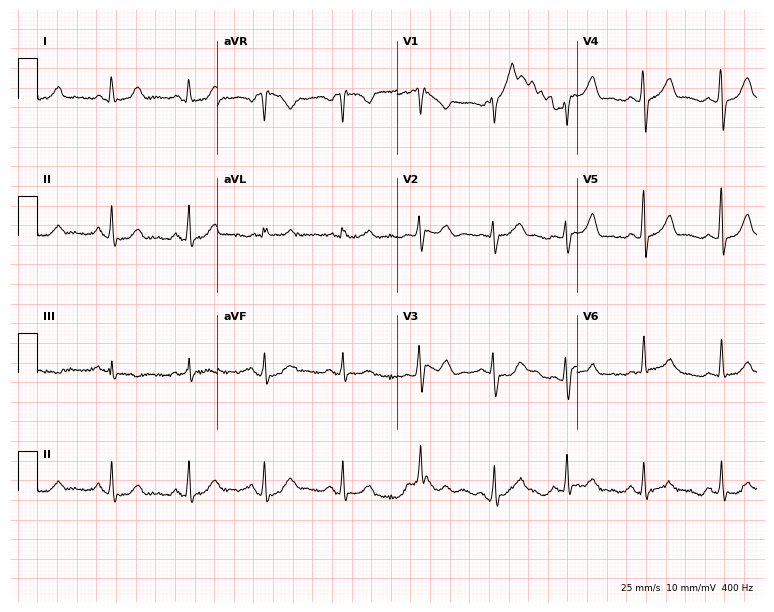
12-lead ECG from an 18-year-old female patient. Labelled as a normal ECG.